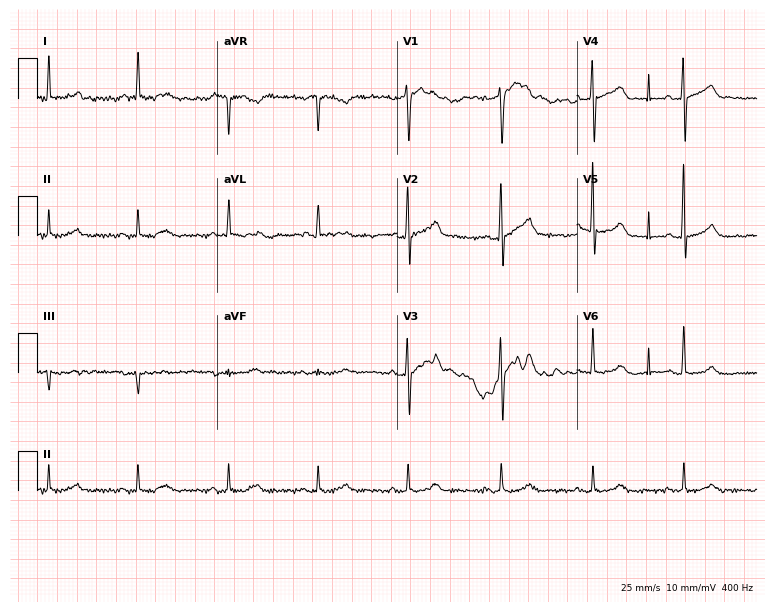
Electrocardiogram (7.3-second recording at 400 Hz), a 66-year-old male patient. Of the six screened findings (first-degree AV block, right bundle branch block, left bundle branch block, sinus bradycardia, atrial fibrillation, sinus tachycardia), none is recorded. Only these six findings were labelled.